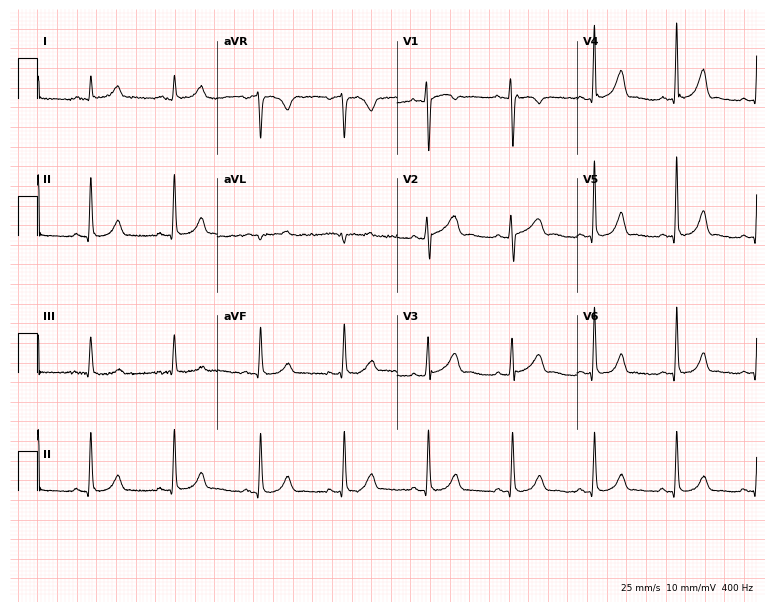
ECG (7.3-second recording at 400 Hz) — a 31-year-old female patient. Labelled as a normal ECG.